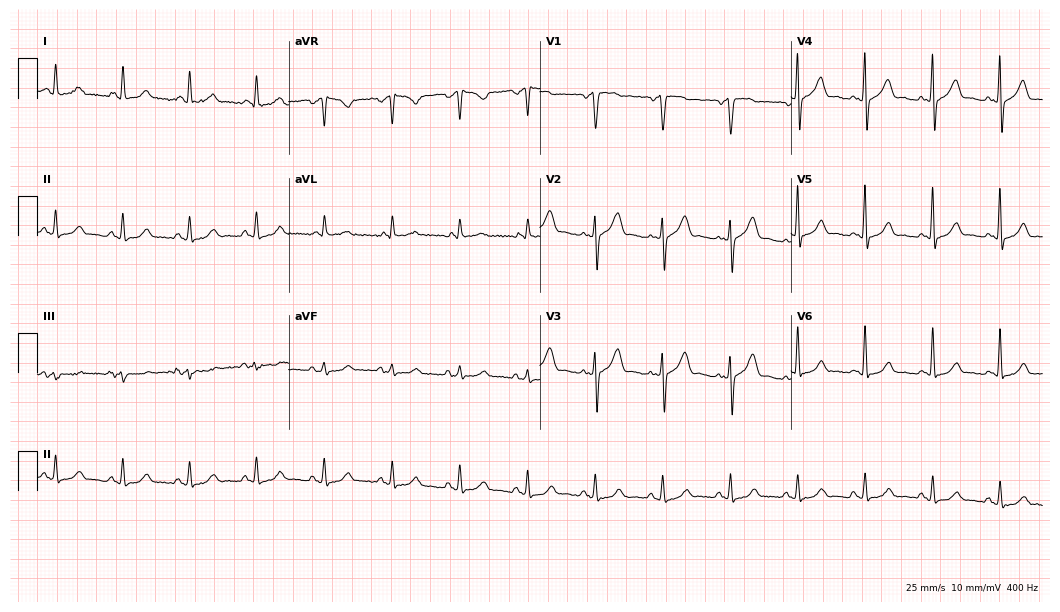
ECG (10.2-second recording at 400 Hz) — a 56-year-old male patient. Screened for six findings — first-degree AV block, right bundle branch block (RBBB), left bundle branch block (LBBB), sinus bradycardia, atrial fibrillation (AF), sinus tachycardia — none is recorded.